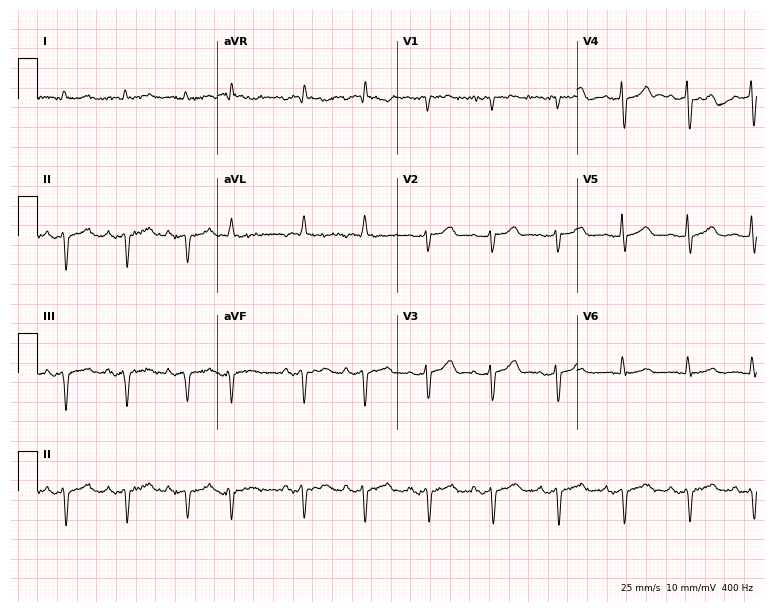
Resting 12-lead electrocardiogram (7.3-second recording at 400 Hz). Patient: a 75-year-old man. None of these six findings is recorded: first-degree AV block, right bundle branch block, left bundle branch block, sinus bradycardia, atrial fibrillation, sinus tachycardia.